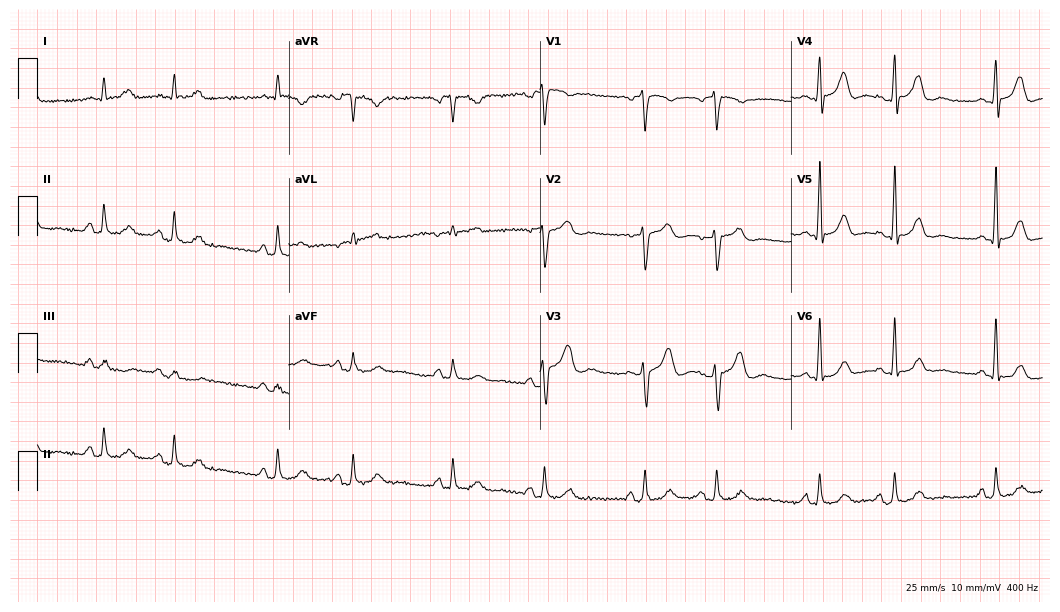
Resting 12-lead electrocardiogram. Patient: a 66-year-old man. Read as a normal ECG.